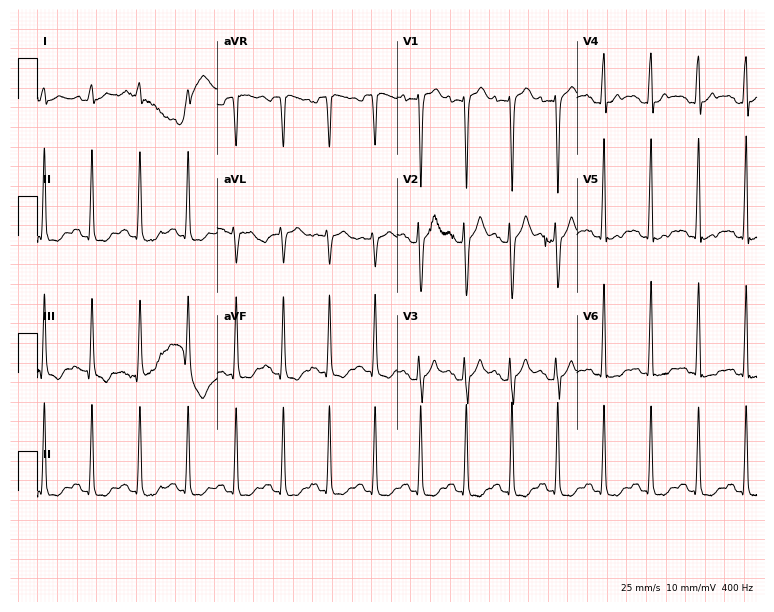
12-lead ECG from a 37-year-old male. Findings include sinus tachycardia (a sinus rate of 100 beats per minute or more).